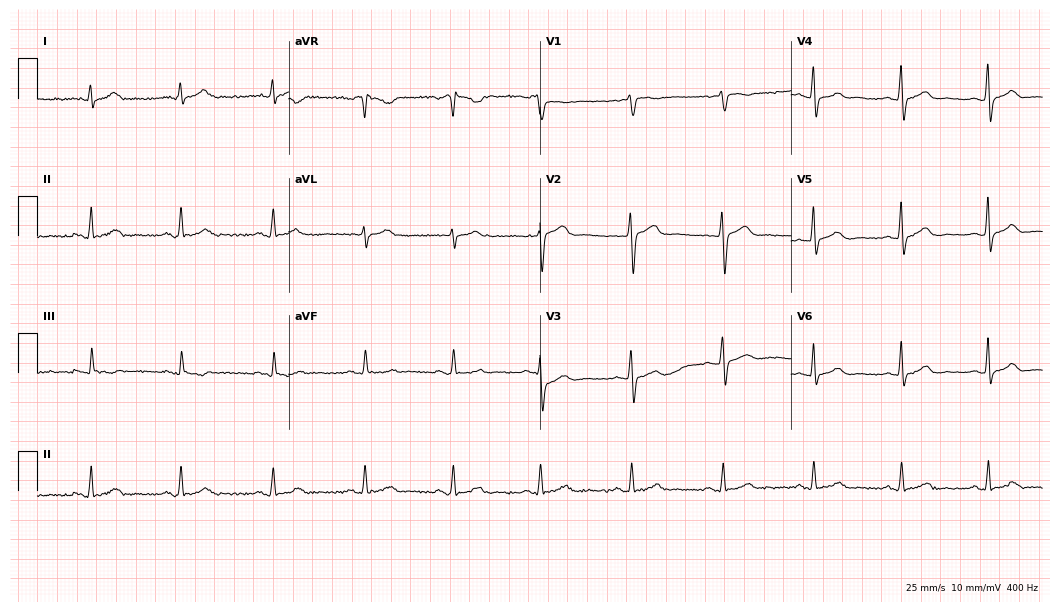
12-lead ECG (10.2-second recording at 400 Hz) from a female patient, 40 years old. Labelled as a normal ECG.